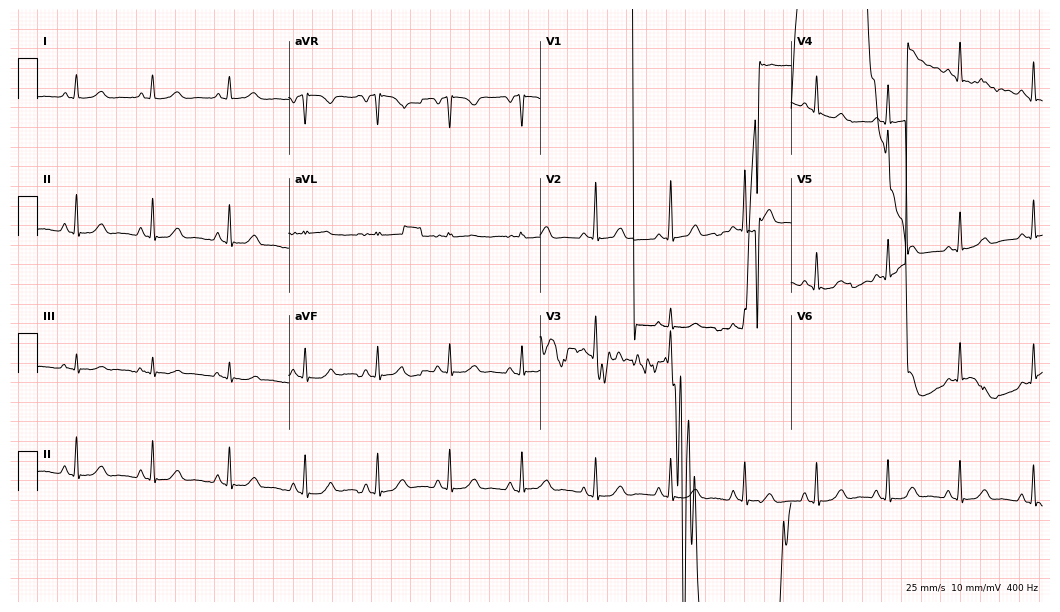
12-lead ECG from a female patient, 31 years old. No first-degree AV block, right bundle branch block, left bundle branch block, sinus bradycardia, atrial fibrillation or sinus tachycardia recorded for this tracing. Other findings, if any, are not listed.